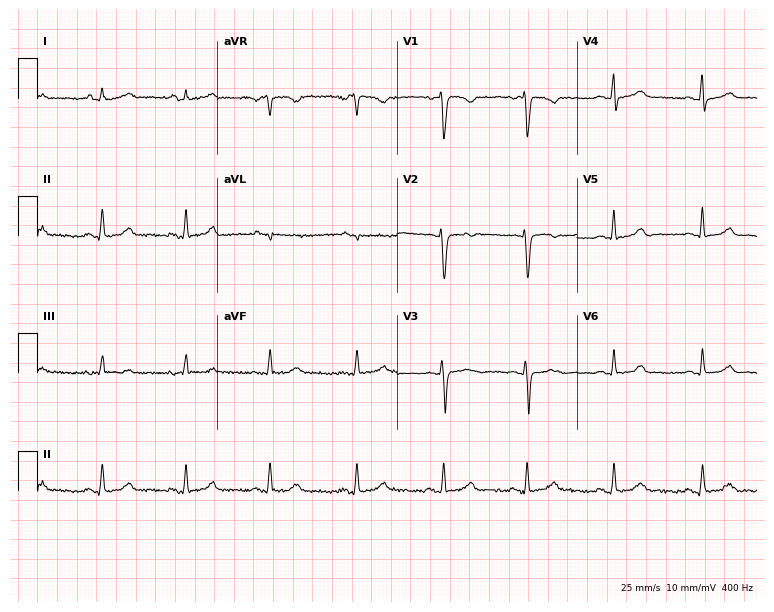
12-lead ECG from a woman, 24 years old. Recorded interpretation: within normal limits.